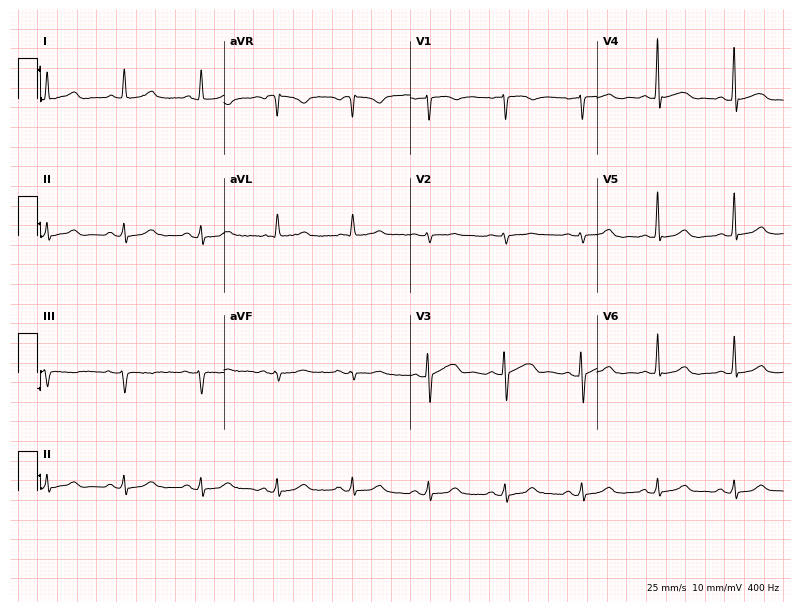
12-lead ECG from a female patient, 79 years old. Recorded interpretation: within normal limits.